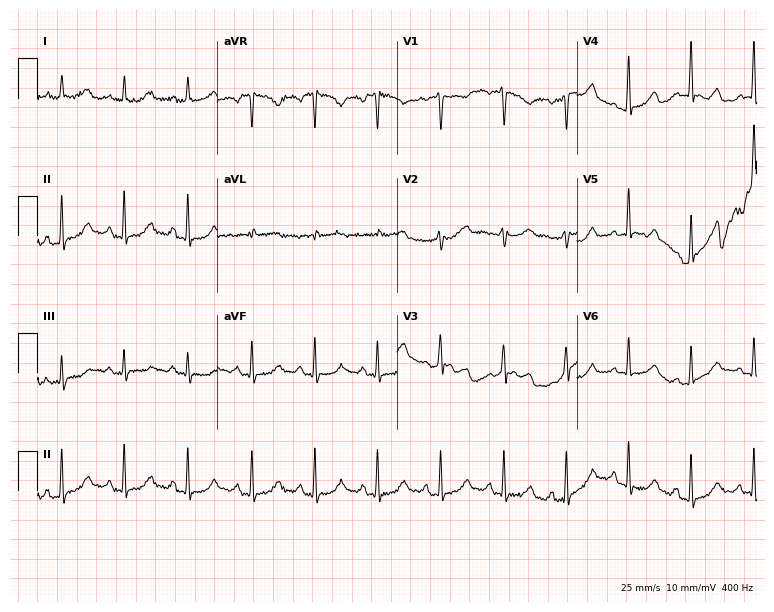
12-lead ECG from a 41-year-old female patient (7.3-second recording at 400 Hz). No first-degree AV block, right bundle branch block (RBBB), left bundle branch block (LBBB), sinus bradycardia, atrial fibrillation (AF) or sinus tachycardia recorded for this tracing. Other findings, if any, are not listed.